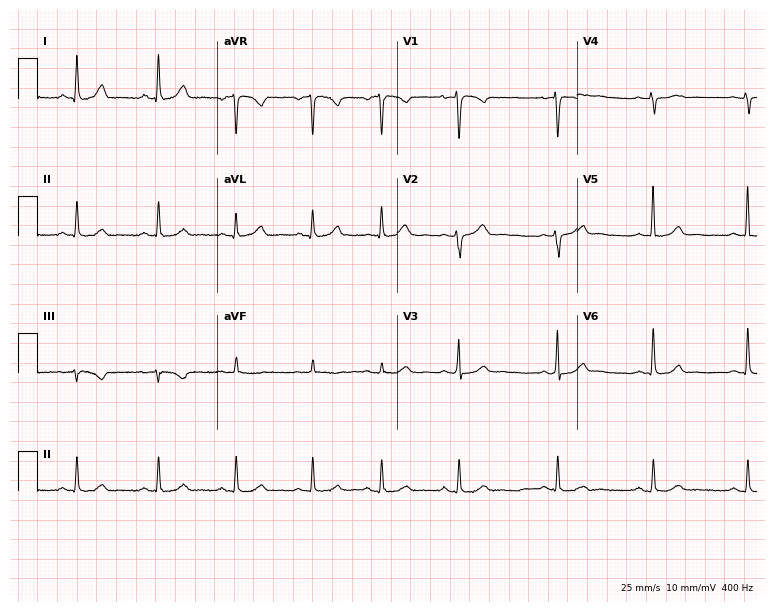
Standard 12-lead ECG recorded from a 41-year-old woman. Read as a normal ECG.